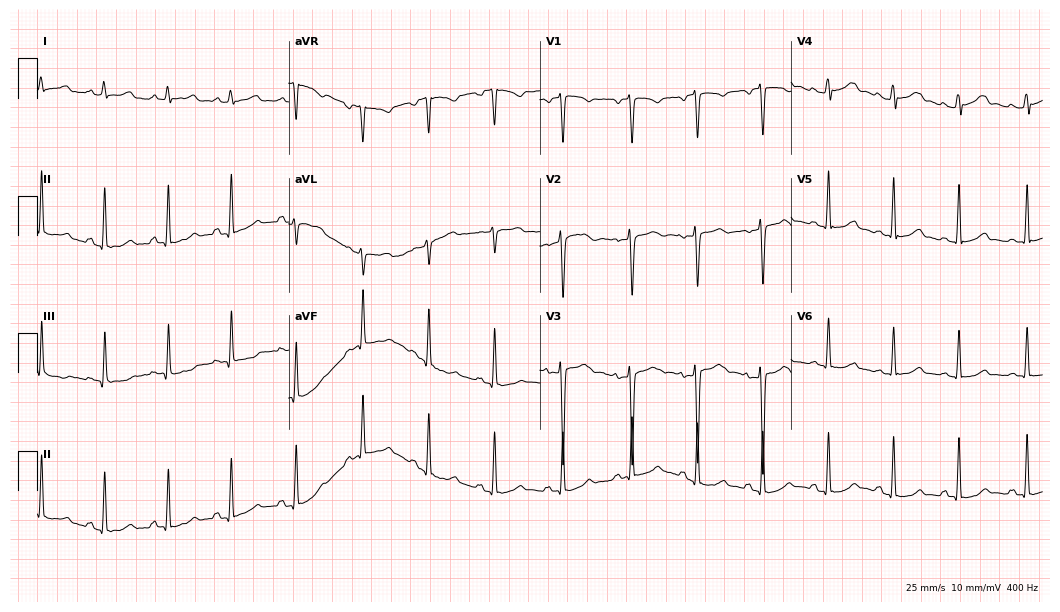
12-lead ECG from a female, 23 years old. Recorded interpretation: within normal limits.